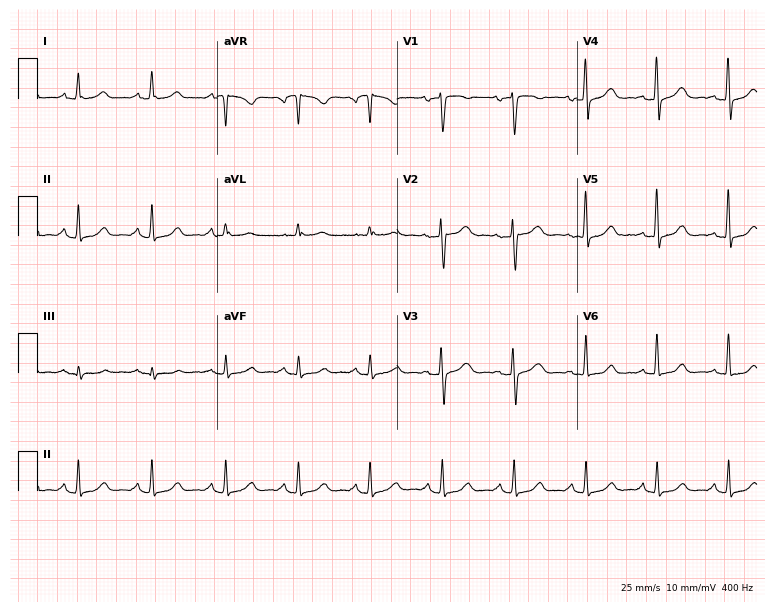
Electrocardiogram, a 59-year-old woman. Overall reading on record: normal ECG.